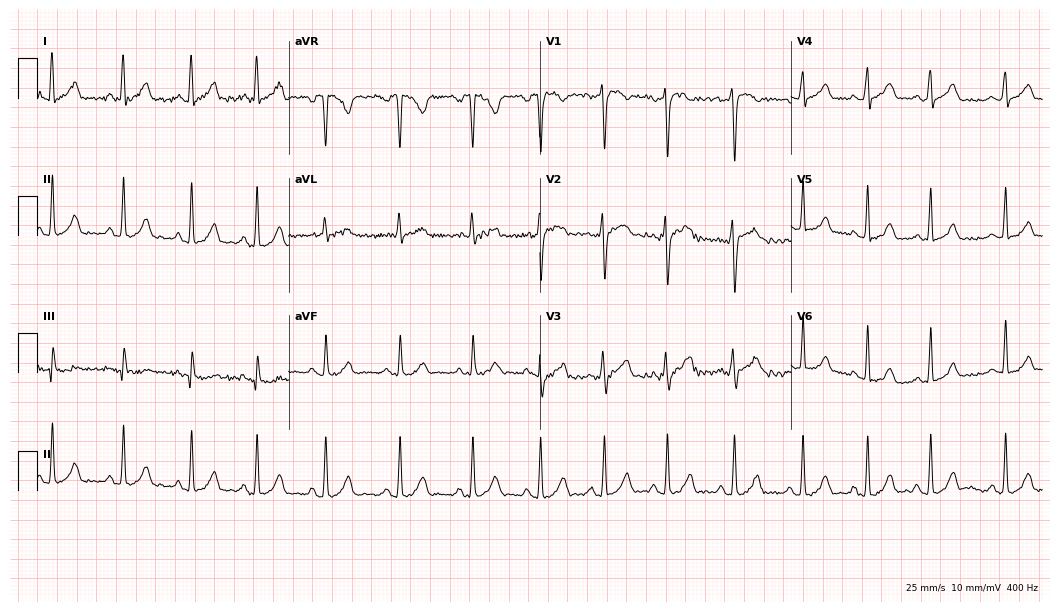
12-lead ECG from a female patient, 25 years old (10.2-second recording at 400 Hz). Recorded interpretation: within normal limits.